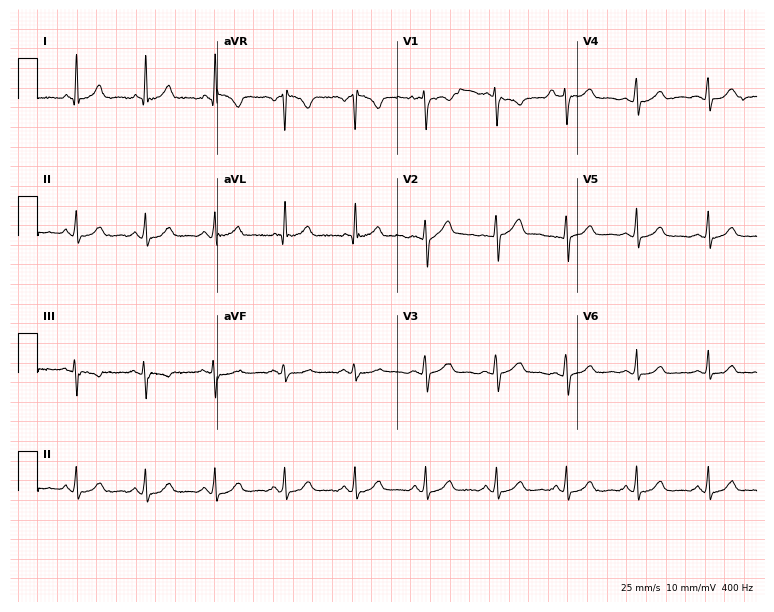
Standard 12-lead ECG recorded from a 25-year-old female (7.3-second recording at 400 Hz). None of these six findings is recorded: first-degree AV block, right bundle branch block (RBBB), left bundle branch block (LBBB), sinus bradycardia, atrial fibrillation (AF), sinus tachycardia.